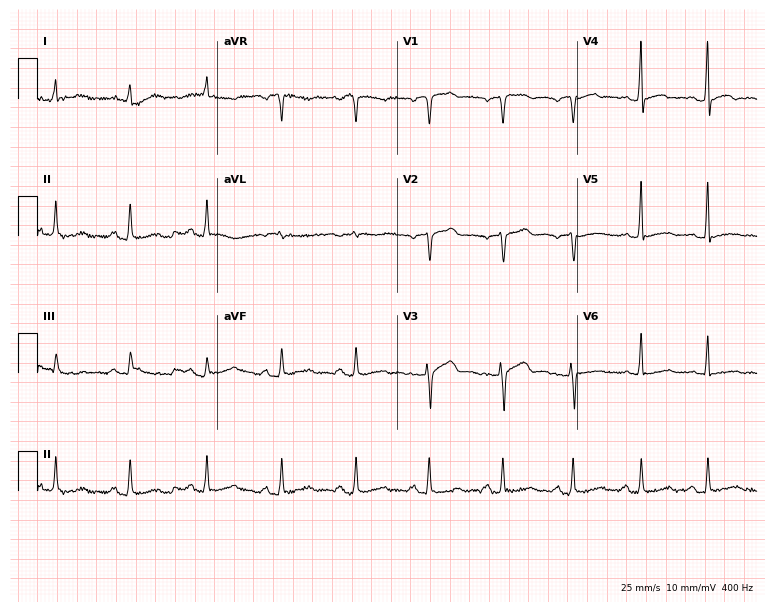
Standard 12-lead ECG recorded from a 40-year-old male (7.3-second recording at 400 Hz). Read as a normal ECG.